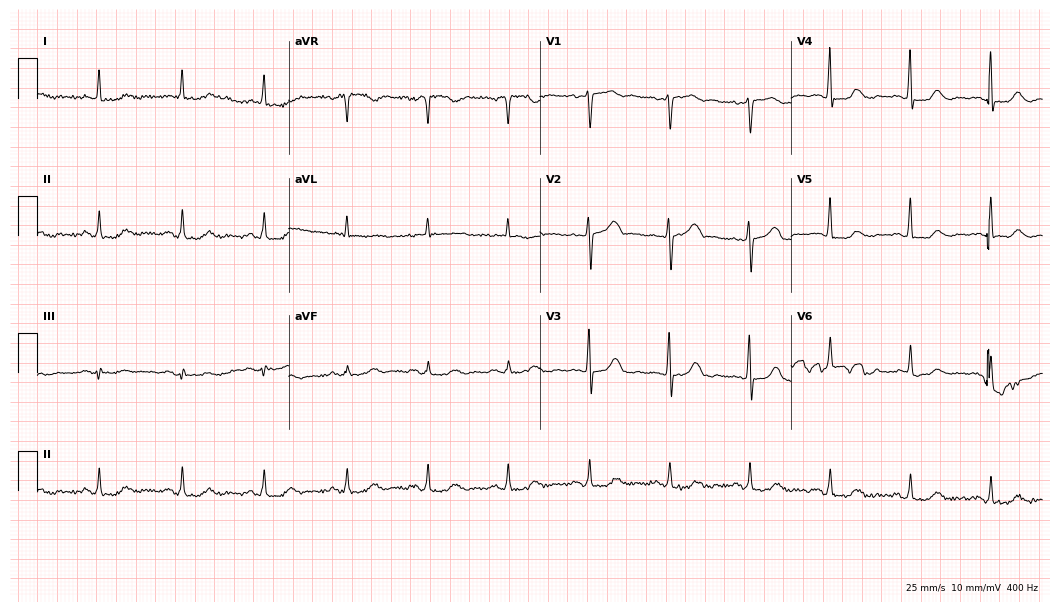
Resting 12-lead electrocardiogram (10.2-second recording at 400 Hz). Patient: an 81-year-old female. None of these six findings is recorded: first-degree AV block, right bundle branch block (RBBB), left bundle branch block (LBBB), sinus bradycardia, atrial fibrillation (AF), sinus tachycardia.